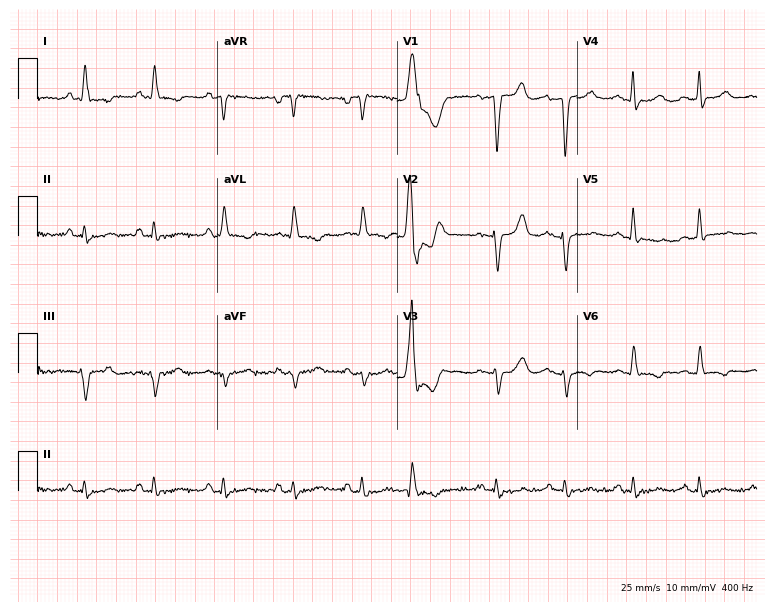
ECG (7.3-second recording at 400 Hz) — an 81-year-old male. Screened for six findings — first-degree AV block, right bundle branch block (RBBB), left bundle branch block (LBBB), sinus bradycardia, atrial fibrillation (AF), sinus tachycardia — none is recorded. Only these six findings were labelled.